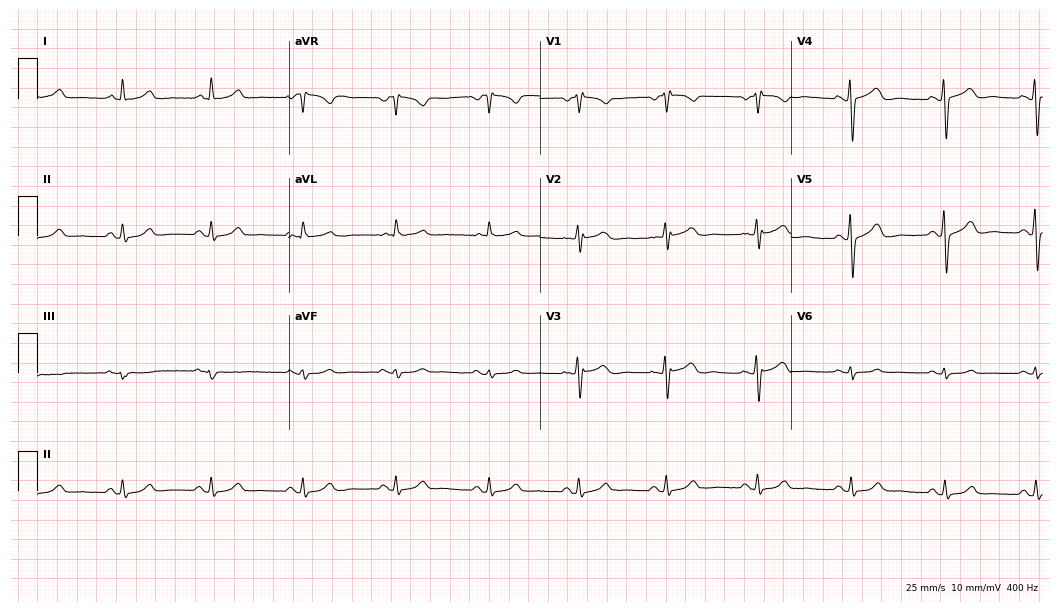
Standard 12-lead ECG recorded from a 58-year-old woman (10.2-second recording at 400 Hz). Read as a normal ECG.